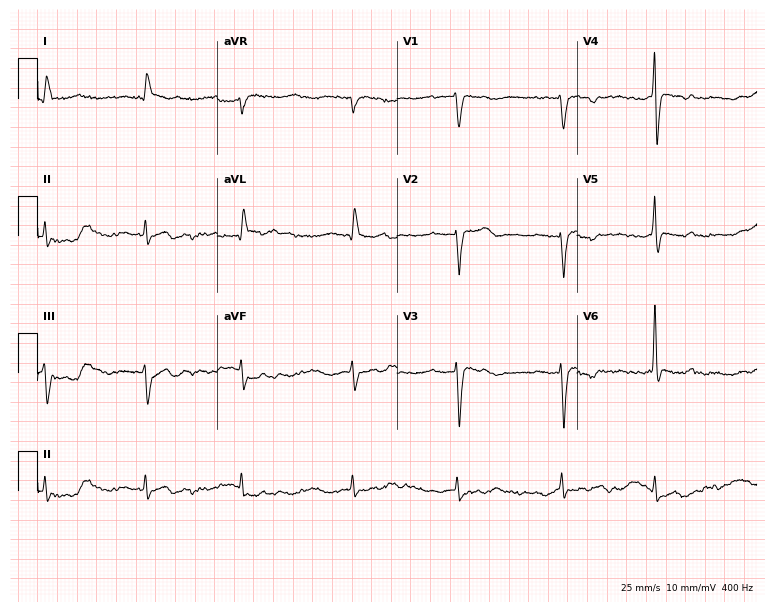
Electrocardiogram, a man, 84 years old. Of the six screened findings (first-degree AV block, right bundle branch block (RBBB), left bundle branch block (LBBB), sinus bradycardia, atrial fibrillation (AF), sinus tachycardia), none is recorded.